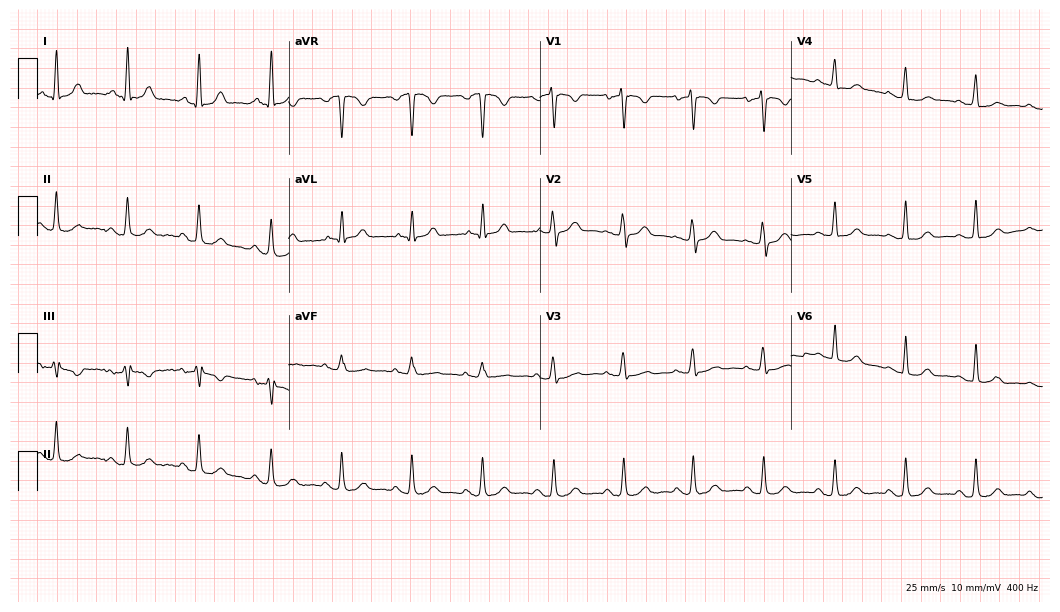
Standard 12-lead ECG recorded from a woman, 49 years old (10.2-second recording at 400 Hz). Read as a normal ECG.